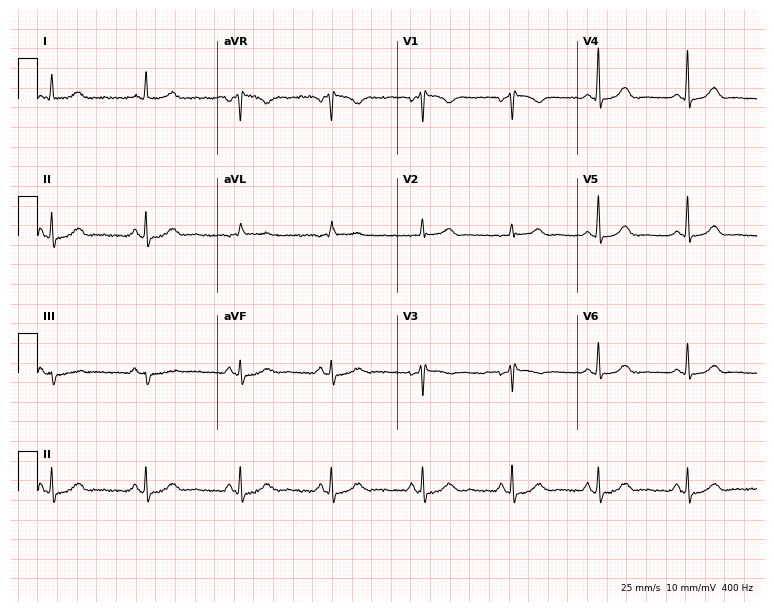
12-lead ECG from a 52-year-old female. Labelled as a normal ECG.